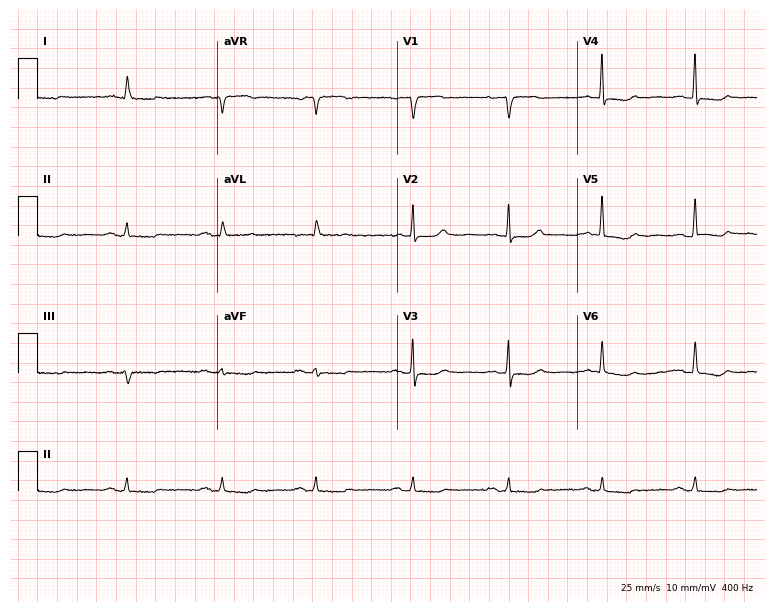
12-lead ECG (7.3-second recording at 400 Hz) from a female patient, 77 years old. Screened for six findings — first-degree AV block, right bundle branch block, left bundle branch block, sinus bradycardia, atrial fibrillation, sinus tachycardia — none is recorded. Other findings, if any, are not listed.